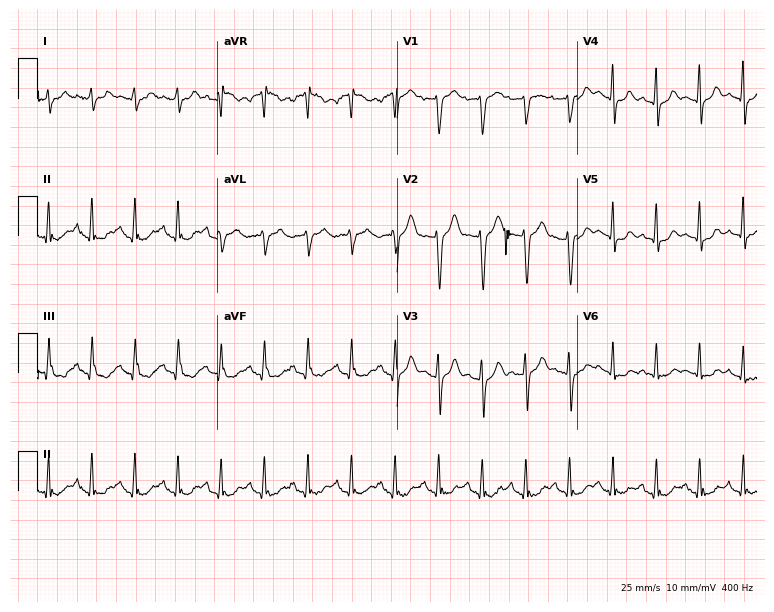
12-lead ECG from a 38-year-old woman (7.3-second recording at 400 Hz). Shows sinus tachycardia (a sinus rate of 100 beats per minute or more).